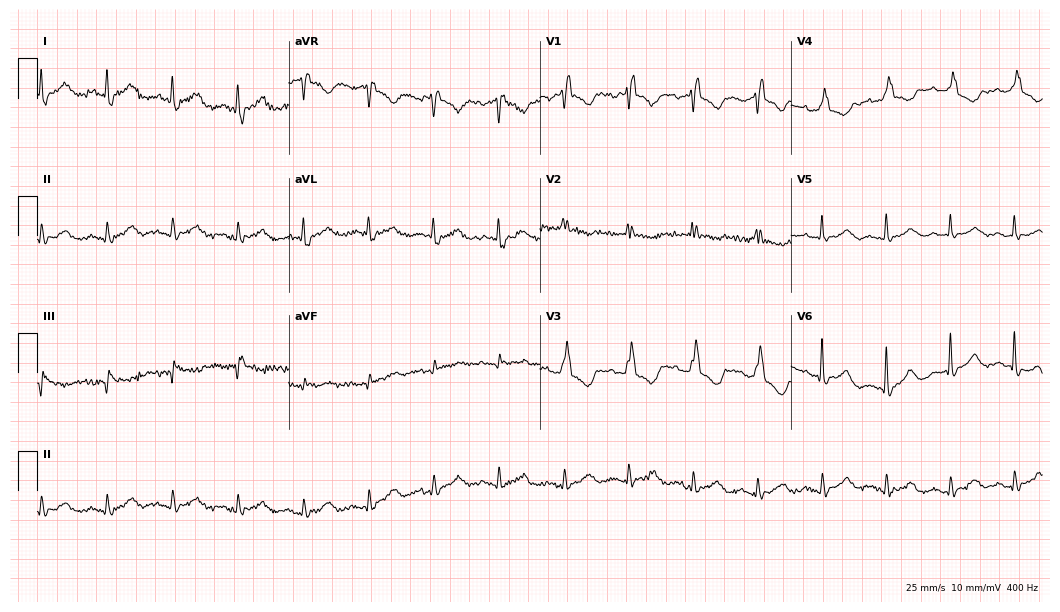
ECG — an 80-year-old woman. Findings include right bundle branch block (RBBB).